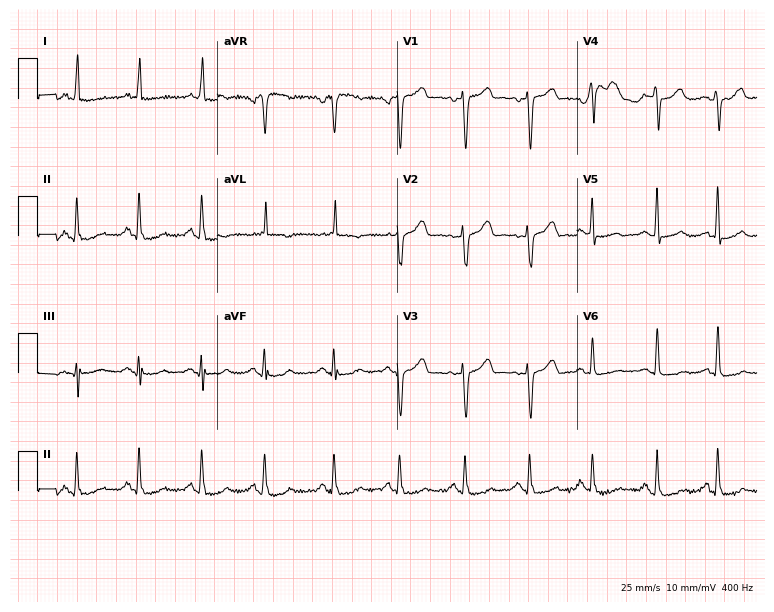
12-lead ECG from a woman, 57 years old (7.3-second recording at 400 Hz). No first-degree AV block, right bundle branch block, left bundle branch block, sinus bradycardia, atrial fibrillation or sinus tachycardia recorded for this tracing.